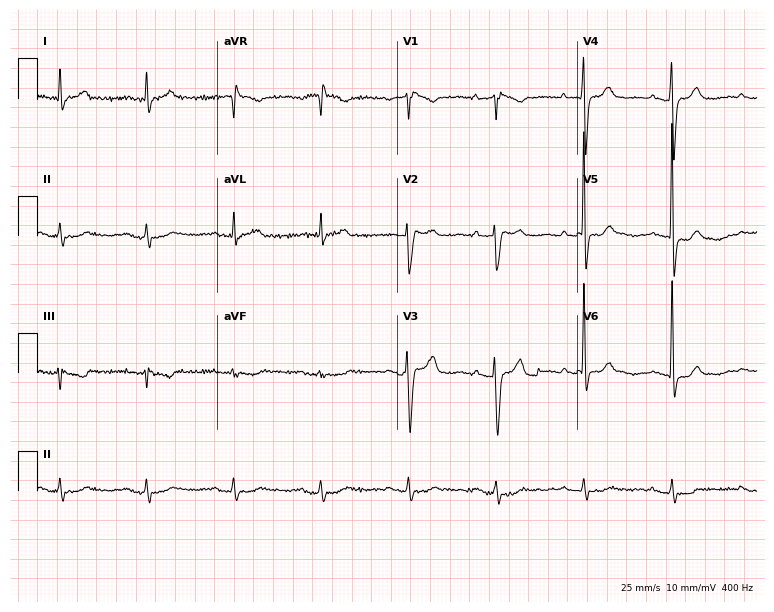
Resting 12-lead electrocardiogram. Patient: a female, 70 years old. None of these six findings is recorded: first-degree AV block, right bundle branch block, left bundle branch block, sinus bradycardia, atrial fibrillation, sinus tachycardia. Findings outside these six are not listed.